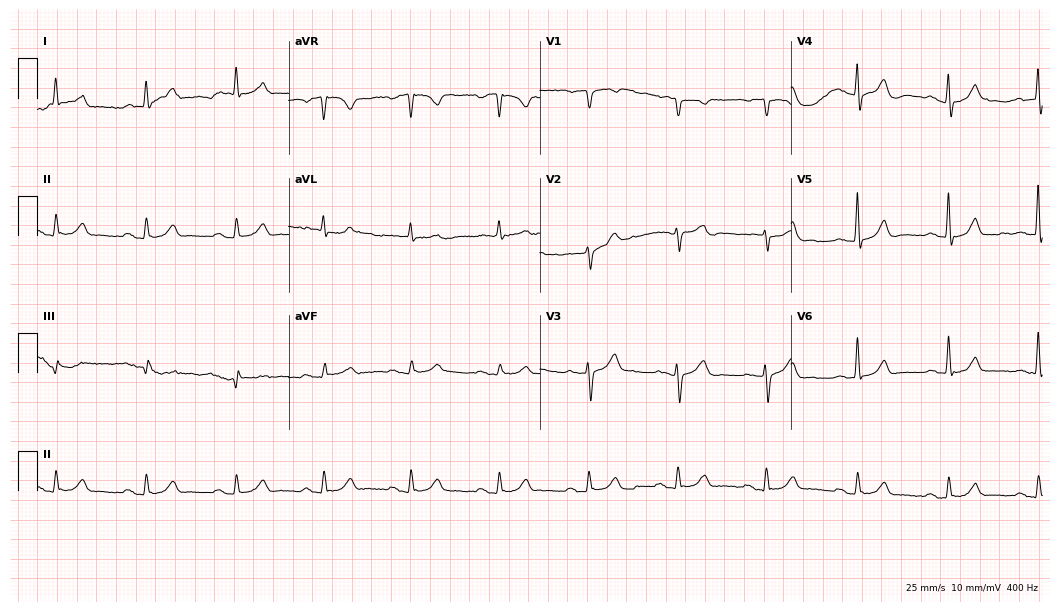
12-lead ECG from a man, 70 years old (10.2-second recording at 400 Hz). Recorded interpretation: within normal limits.